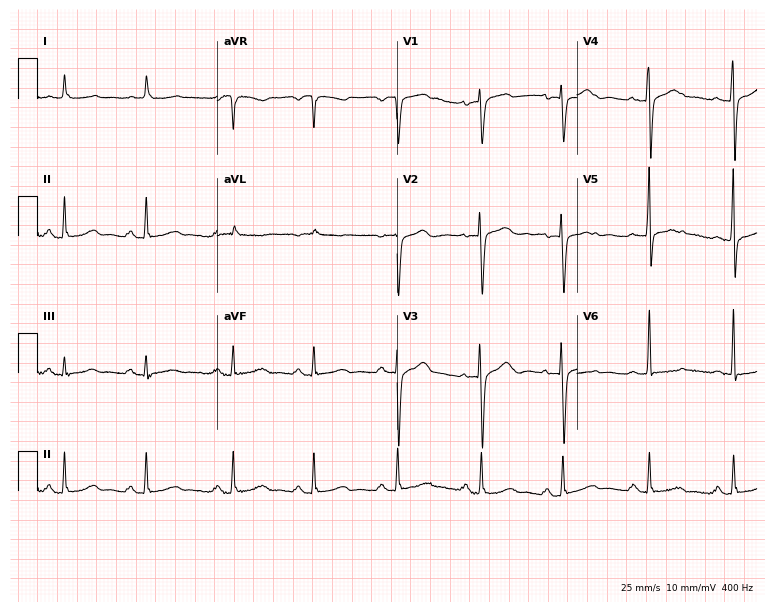
12-lead ECG from a woman, 63 years old. Labelled as a normal ECG.